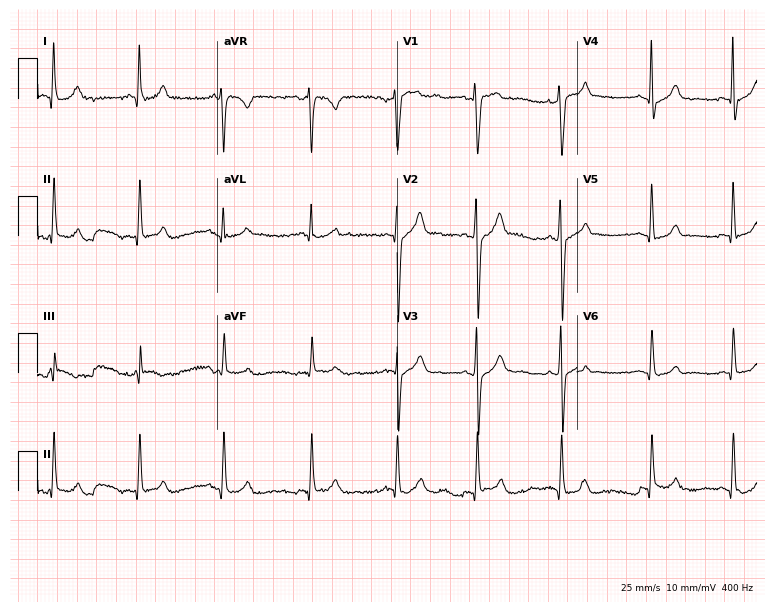
Standard 12-lead ECG recorded from a man, 17 years old (7.3-second recording at 400 Hz). Read as a normal ECG.